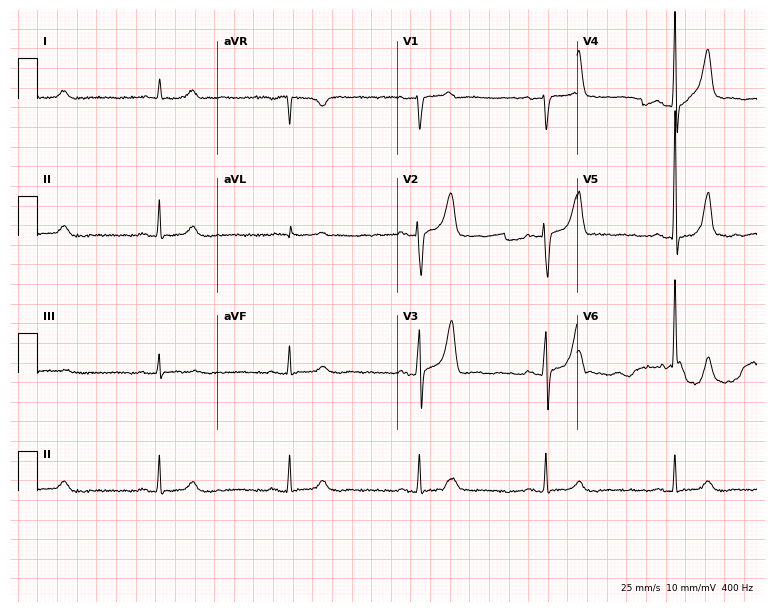
12-lead ECG (7.3-second recording at 400 Hz) from a man, 84 years old. Findings include sinus bradycardia (a sinus rate of 50 beats per minute or less).